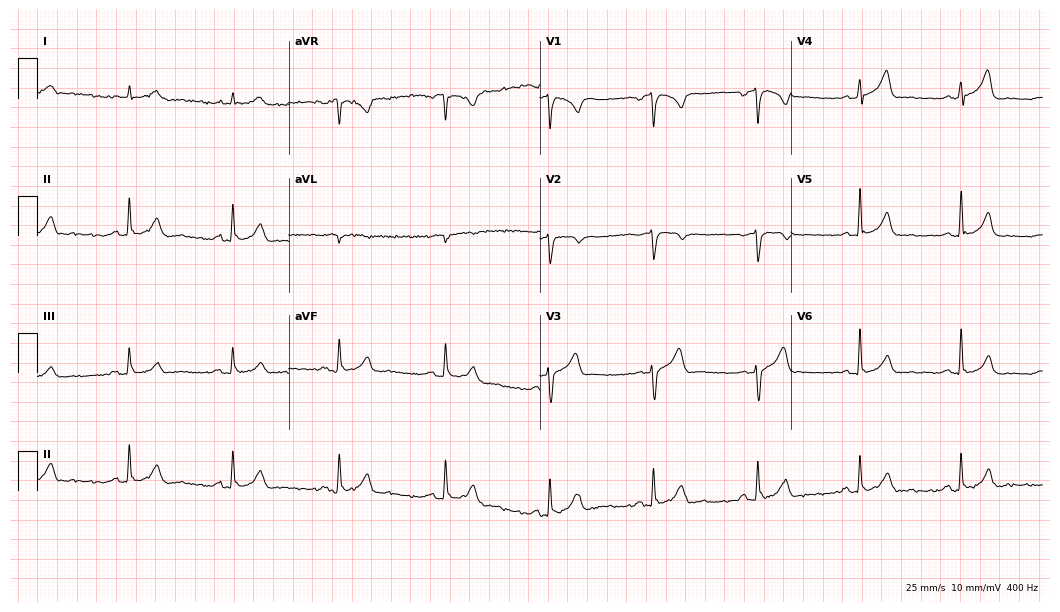
Electrocardiogram, a male patient, 55 years old. Of the six screened findings (first-degree AV block, right bundle branch block (RBBB), left bundle branch block (LBBB), sinus bradycardia, atrial fibrillation (AF), sinus tachycardia), none is recorded. Only these six findings were labelled.